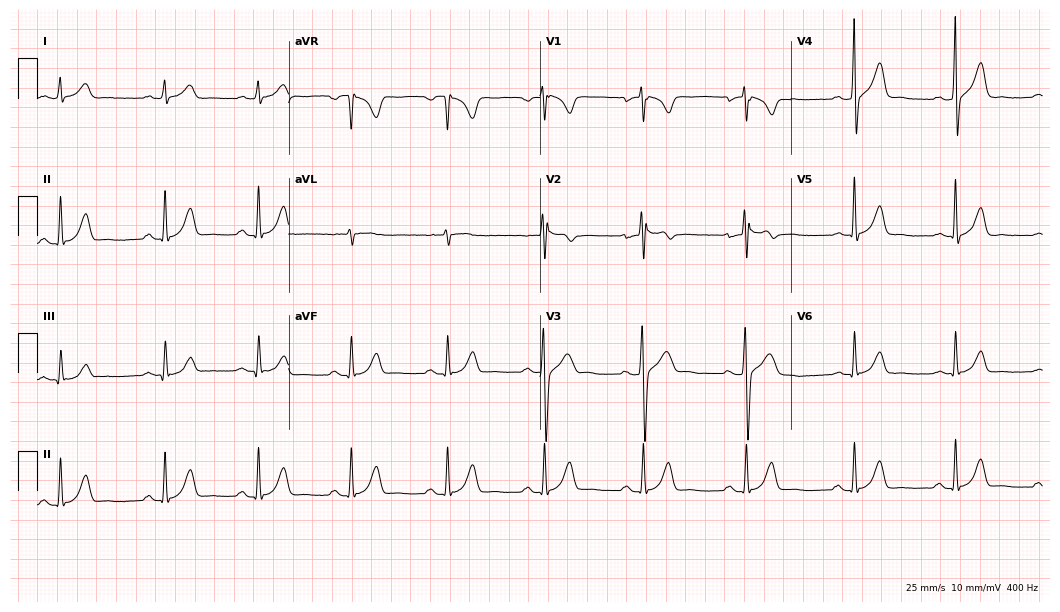
12-lead ECG from a 36-year-old male patient. Screened for six findings — first-degree AV block, right bundle branch block, left bundle branch block, sinus bradycardia, atrial fibrillation, sinus tachycardia — none is recorded. Only these six findings were labelled.